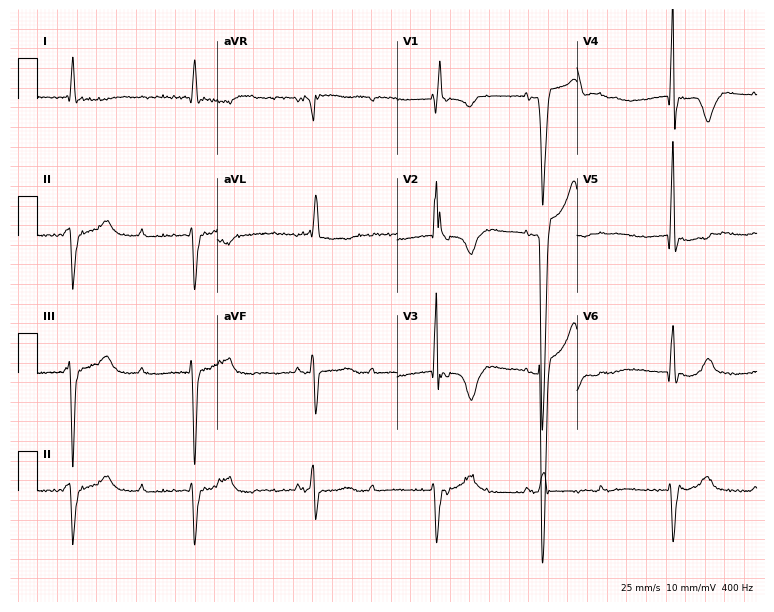
12-lead ECG (7.3-second recording at 400 Hz) from a female, 79 years old. Findings include right bundle branch block, sinus bradycardia (a sinus rate of 50 beats per minute or less).